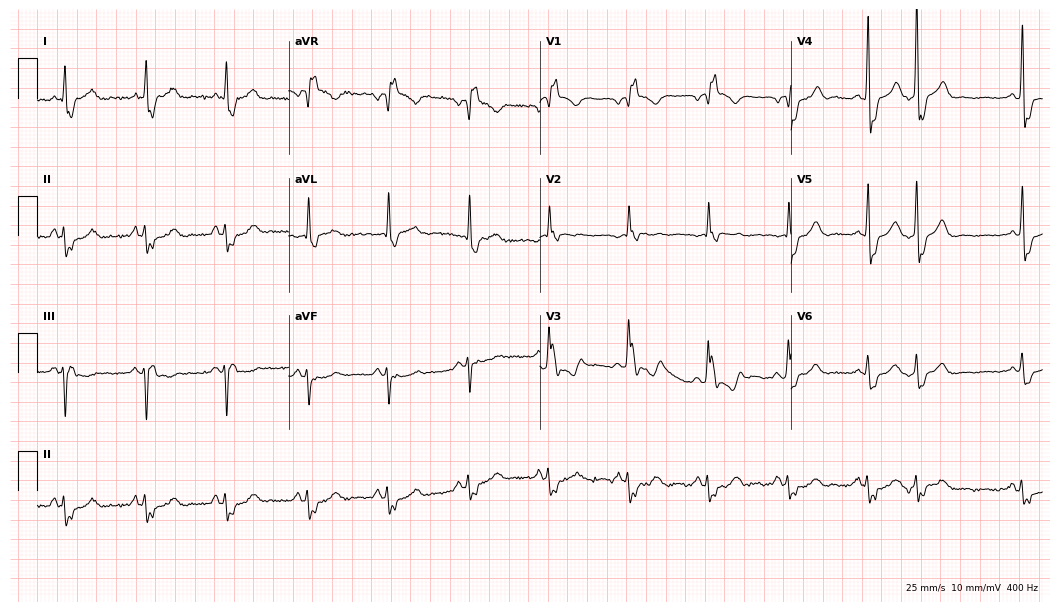
Standard 12-lead ECG recorded from a 77-year-old male patient (10.2-second recording at 400 Hz). The tracing shows right bundle branch block.